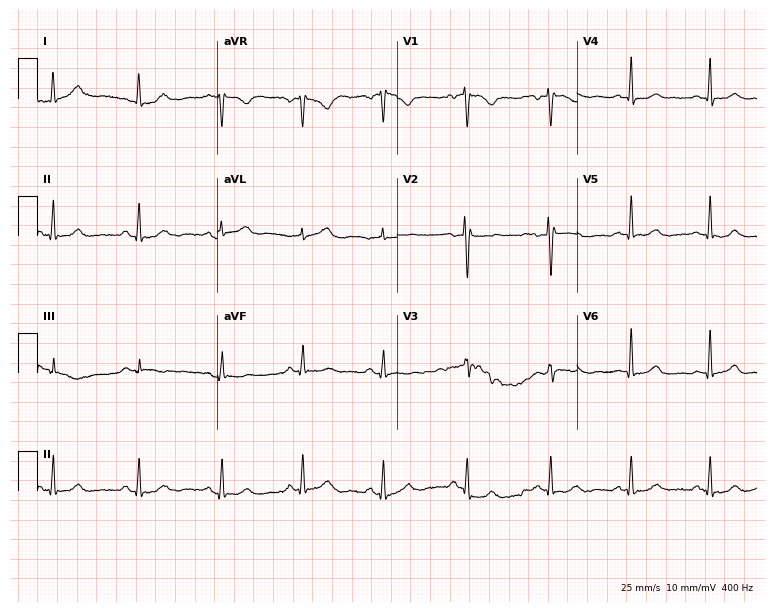
12-lead ECG from a 33-year-old female (7.3-second recording at 400 Hz). No first-degree AV block, right bundle branch block, left bundle branch block, sinus bradycardia, atrial fibrillation or sinus tachycardia recorded for this tracing. Only these six findings were labelled.